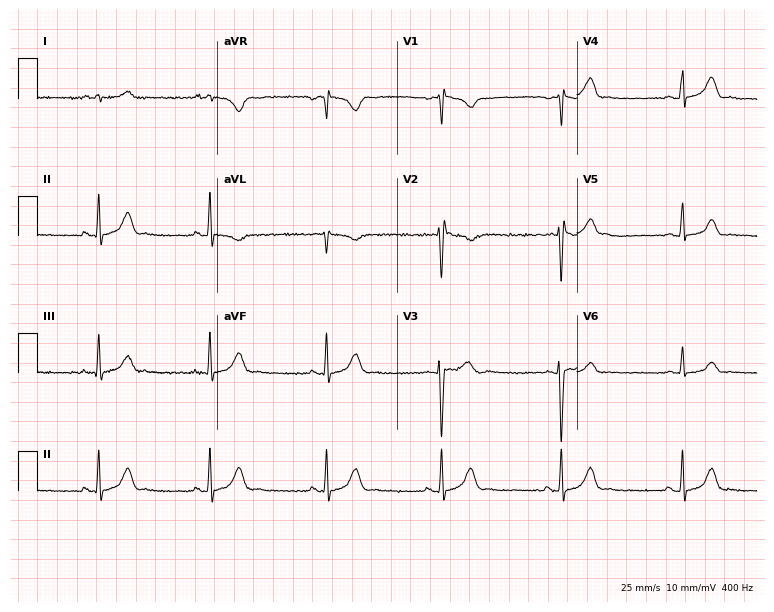
12-lead ECG from a male patient, 21 years old (7.3-second recording at 400 Hz). No first-degree AV block, right bundle branch block, left bundle branch block, sinus bradycardia, atrial fibrillation or sinus tachycardia recorded for this tracing.